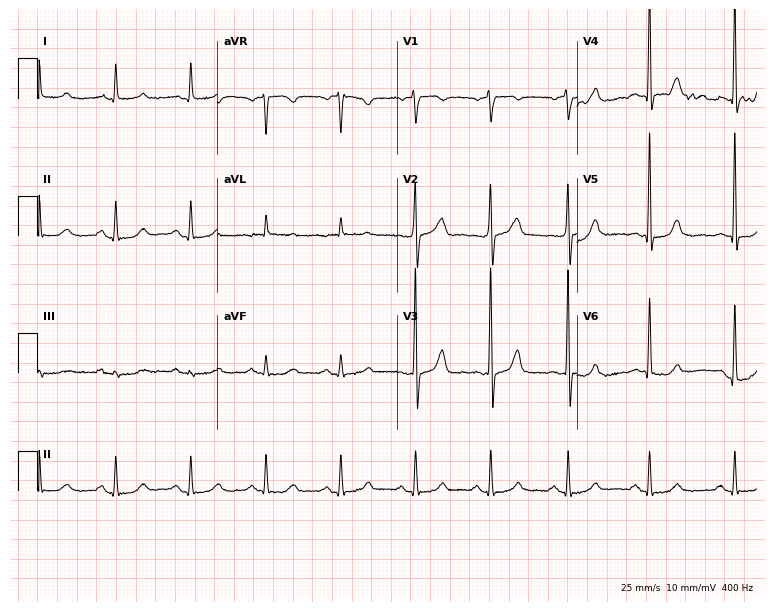
Electrocardiogram, a 79-year-old man. Overall reading on record: normal ECG.